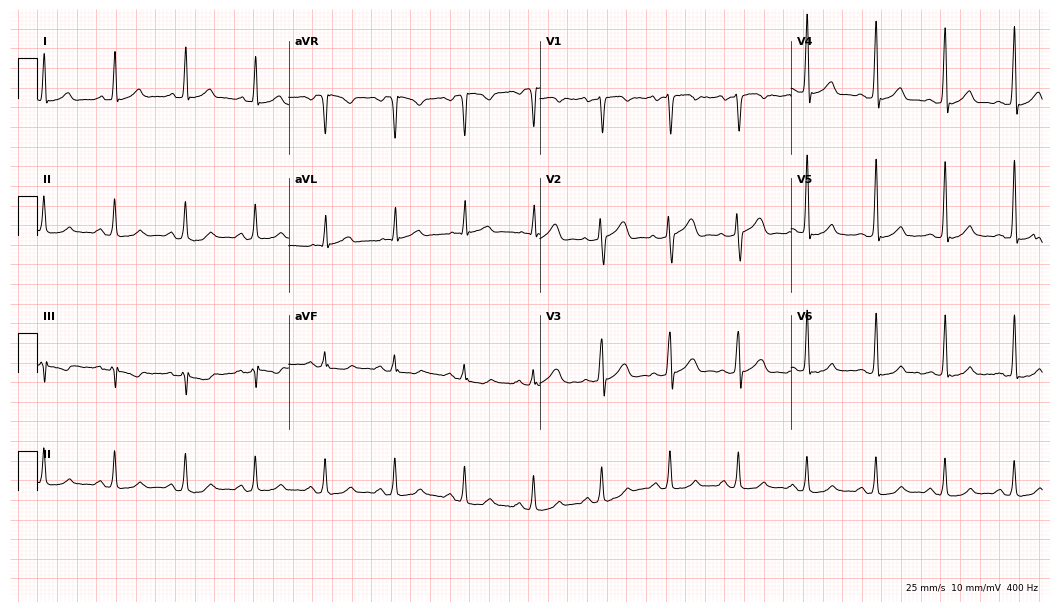
Electrocardiogram, a 51-year-old male. Of the six screened findings (first-degree AV block, right bundle branch block (RBBB), left bundle branch block (LBBB), sinus bradycardia, atrial fibrillation (AF), sinus tachycardia), none is recorded.